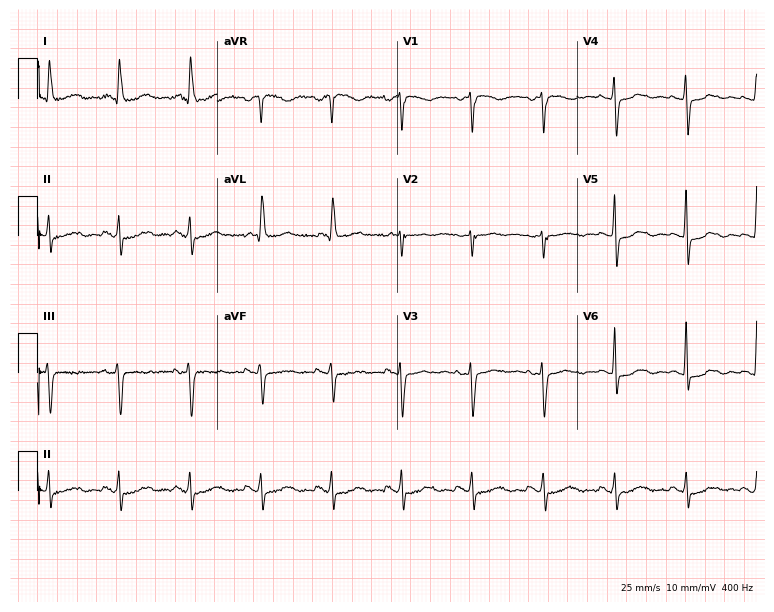
ECG (7.3-second recording at 400 Hz) — a female patient, 83 years old. Screened for six findings — first-degree AV block, right bundle branch block (RBBB), left bundle branch block (LBBB), sinus bradycardia, atrial fibrillation (AF), sinus tachycardia — none is recorded.